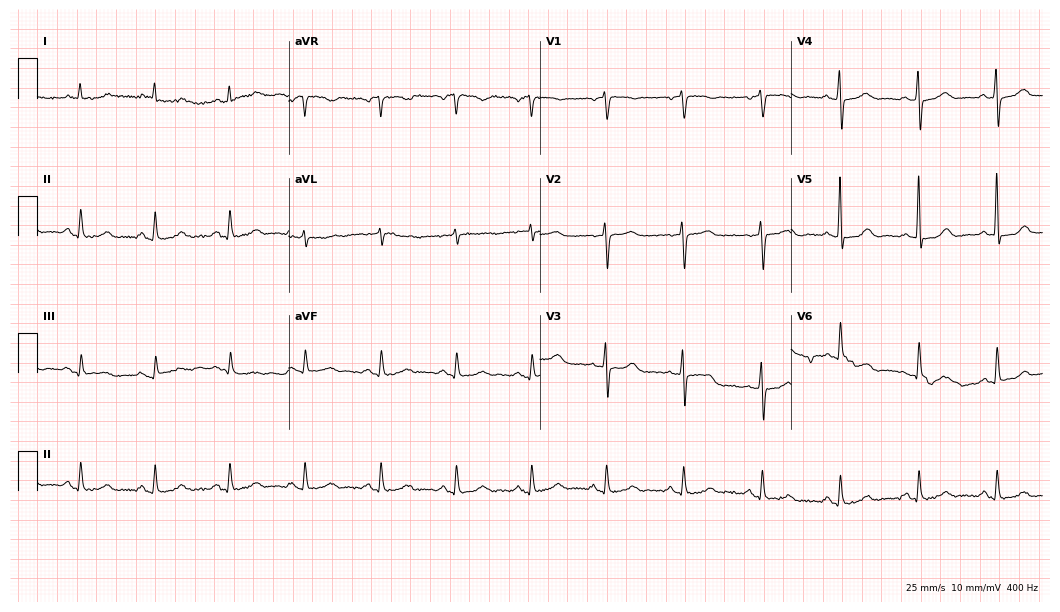
Standard 12-lead ECG recorded from a female, 61 years old (10.2-second recording at 400 Hz). None of these six findings is recorded: first-degree AV block, right bundle branch block, left bundle branch block, sinus bradycardia, atrial fibrillation, sinus tachycardia. Only these six findings were labelled.